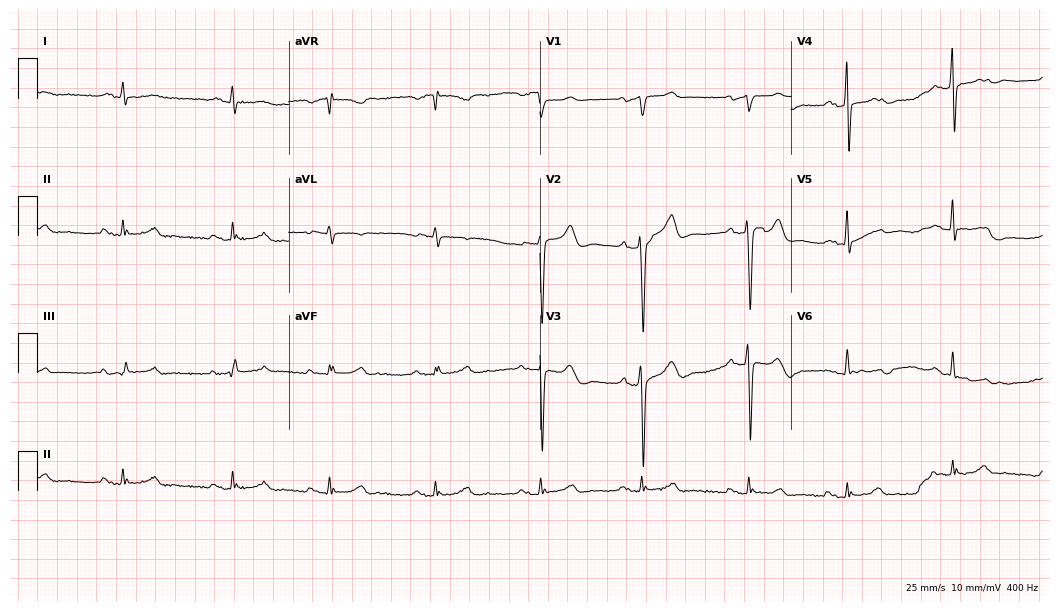
Resting 12-lead electrocardiogram (10.2-second recording at 400 Hz). Patient: a 71-year-old male. None of these six findings is recorded: first-degree AV block, right bundle branch block, left bundle branch block, sinus bradycardia, atrial fibrillation, sinus tachycardia. Findings outside these six are not listed.